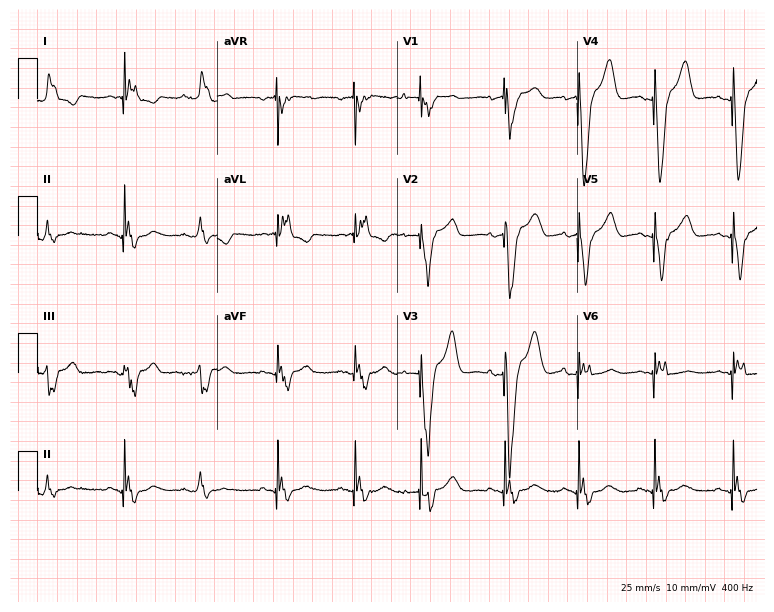
12-lead ECG from a female patient, 72 years old. Screened for six findings — first-degree AV block, right bundle branch block (RBBB), left bundle branch block (LBBB), sinus bradycardia, atrial fibrillation (AF), sinus tachycardia — none is recorded.